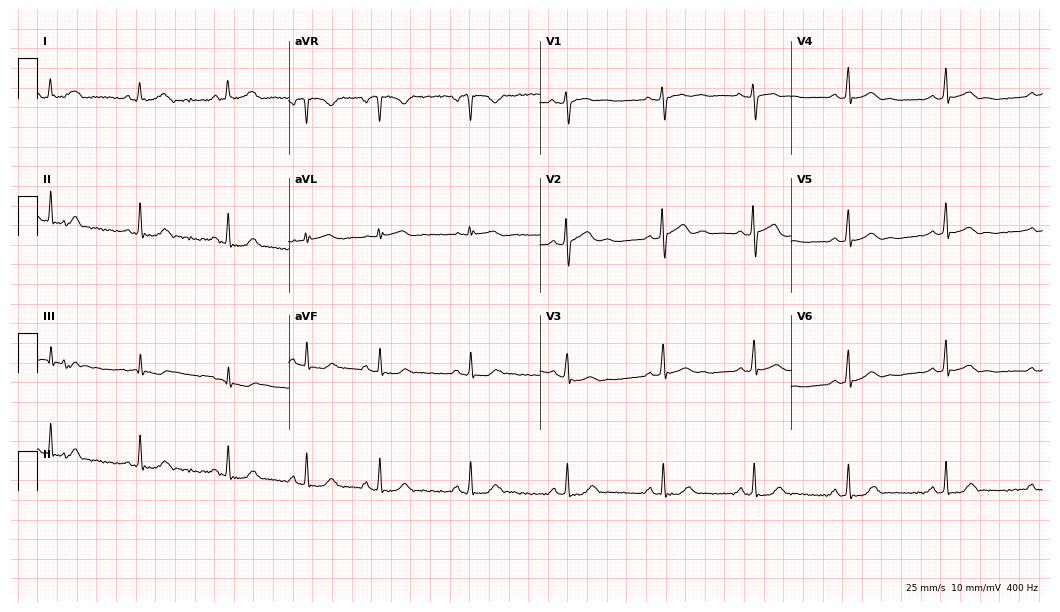
Resting 12-lead electrocardiogram. Patient: a 23-year-old male. None of these six findings is recorded: first-degree AV block, right bundle branch block, left bundle branch block, sinus bradycardia, atrial fibrillation, sinus tachycardia.